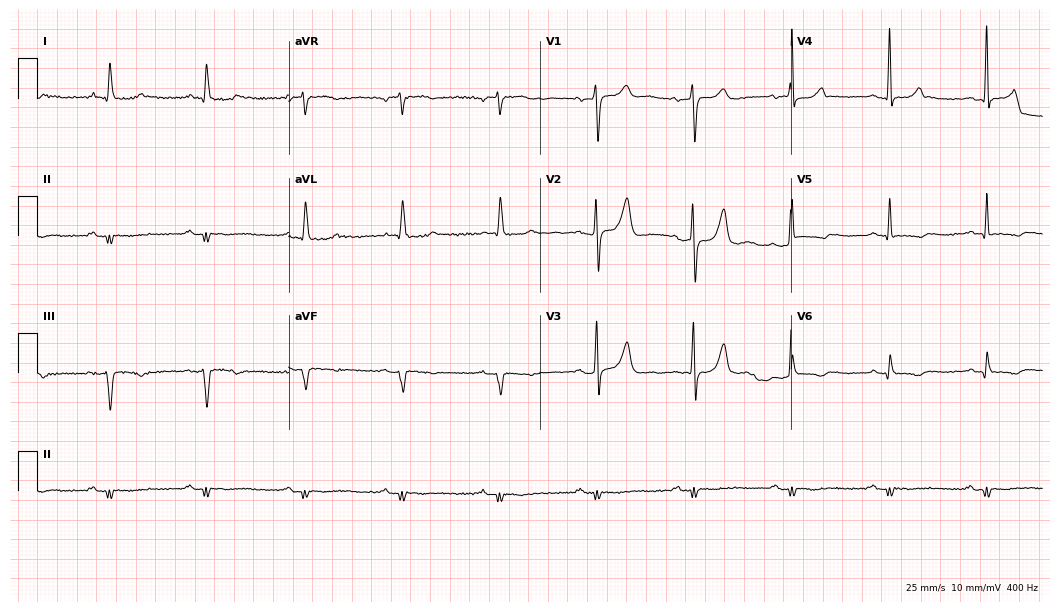
ECG — a male patient, 78 years old. Labelled as a normal ECG.